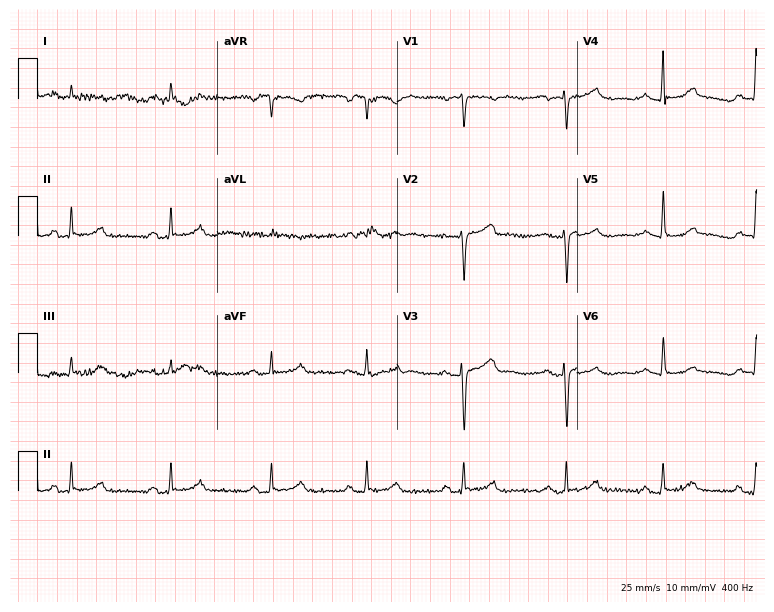
ECG — a female, 58 years old. Labelled as a normal ECG.